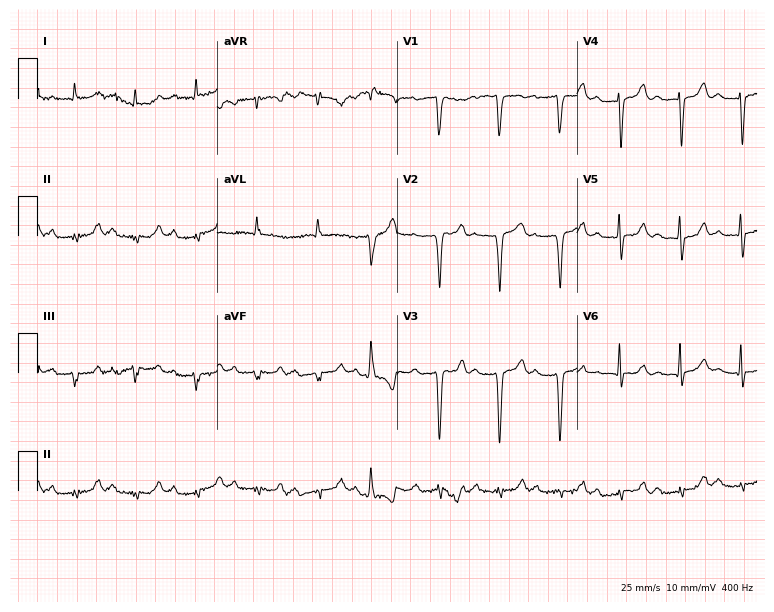
Electrocardiogram, a 65-year-old man. Interpretation includes first-degree AV block.